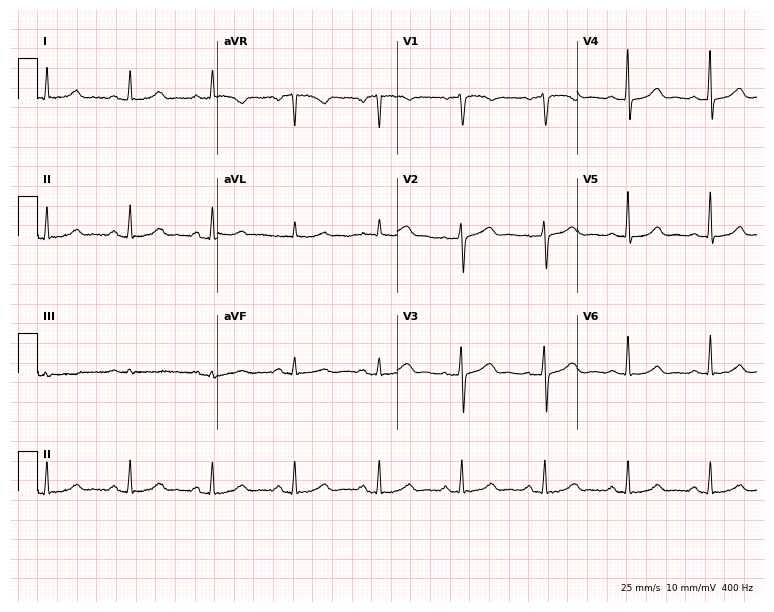
ECG (7.3-second recording at 400 Hz) — a 56-year-old female. Screened for six findings — first-degree AV block, right bundle branch block (RBBB), left bundle branch block (LBBB), sinus bradycardia, atrial fibrillation (AF), sinus tachycardia — none is recorded. Other findings, if any, are not listed.